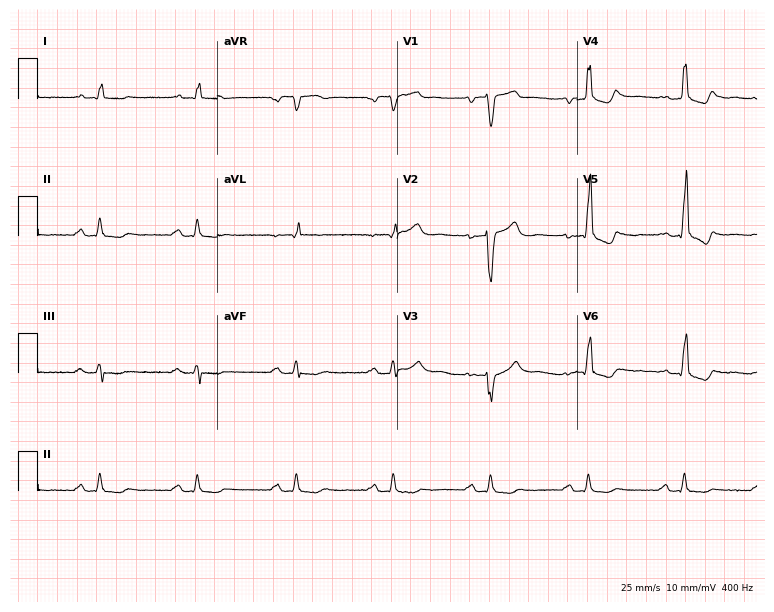
ECG — a 43-year-old man. Screened for six findings — first-degree AV block, right bundle branch block (RBBB), left bundle branch block (LBBB), sinus bradycardia, atrial fibrillation (AF), sinus tachycardia — none is recorded. Findings outside these six are not listed.